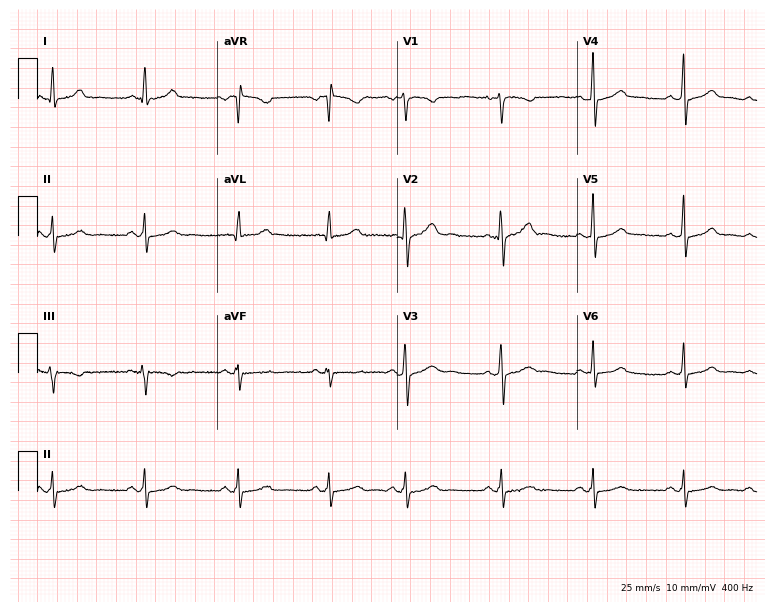
12-lead ECG from a woman, 33 years old. Labelled as a normal ECG.